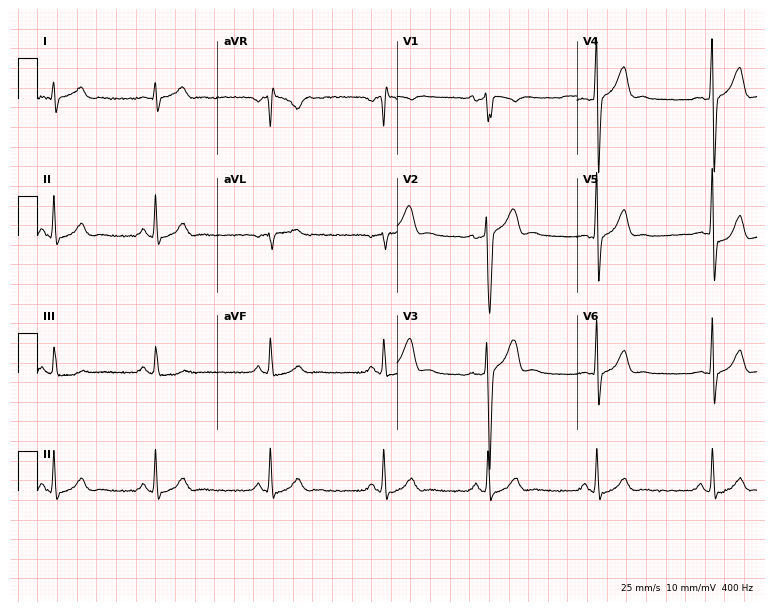
Resting 12-lead electrocardiogram. Patient: a male, 22 years old. Read as a normal ECG.